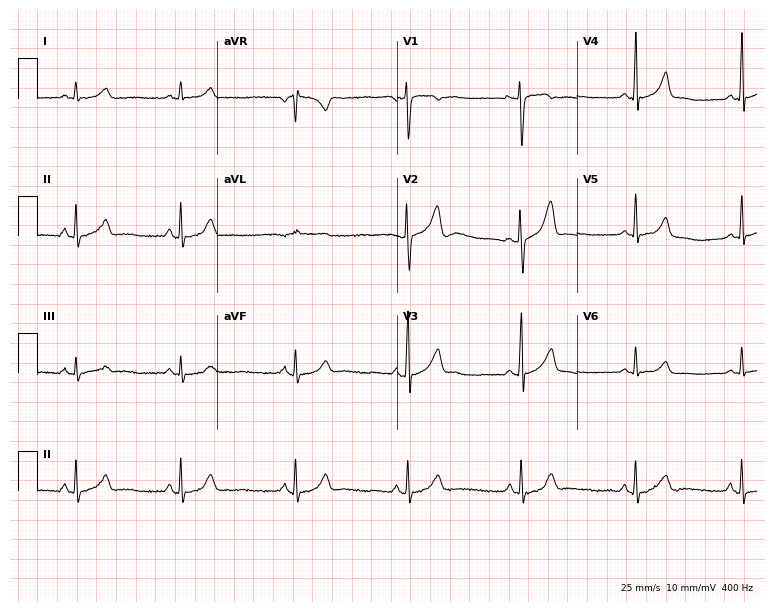
Standard 12-lead ECG recorded from a 29-year-old female (7.3-second recording at 400 Hz). None of these six findings is recorded: first-degree AV block, right bundle branch block, left bundle branch block, sinus bradycardia, atrial fibrillation, sinus tachycardia.